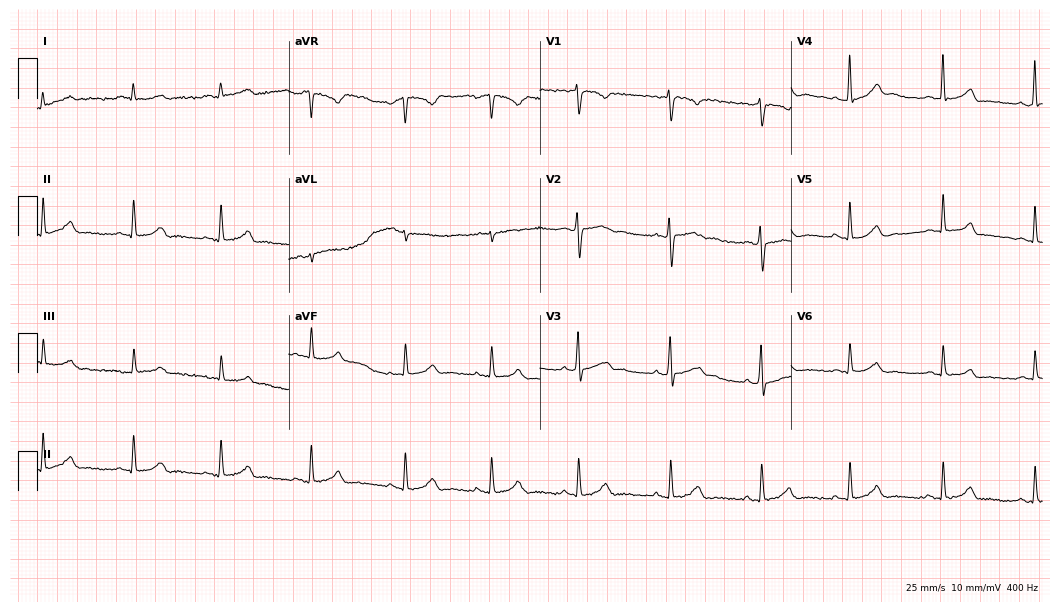
Electrocardiogram (10.2-second recording at 400 Hz), a 26-year-old woman. Overall reading on record: normal ECG.